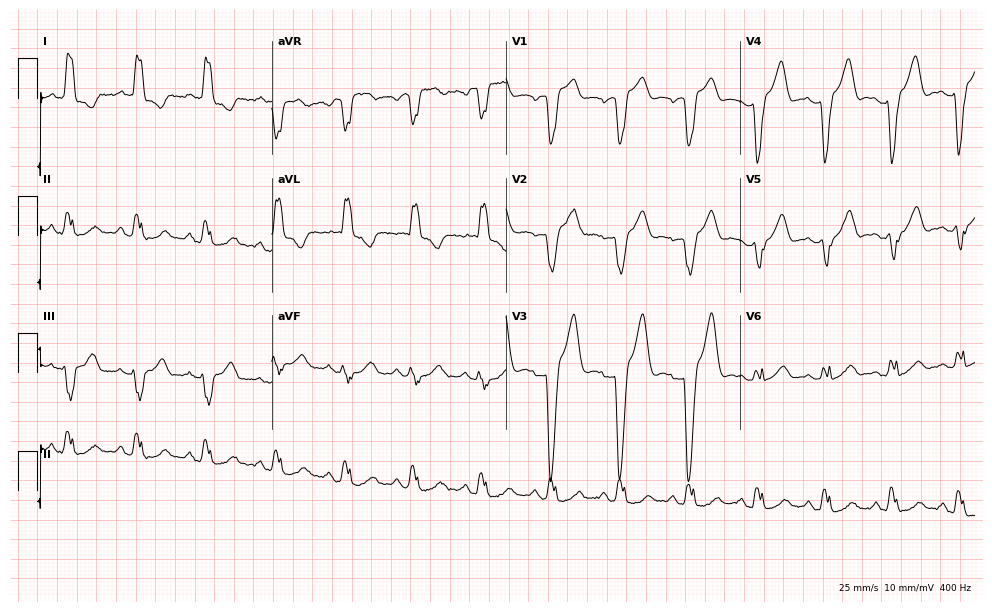
Standard 12-lead ECG recorded from a female, 46 years old (9.6-second recording at 400 Hz). The tracing shows left bundle branch block (LBBB).